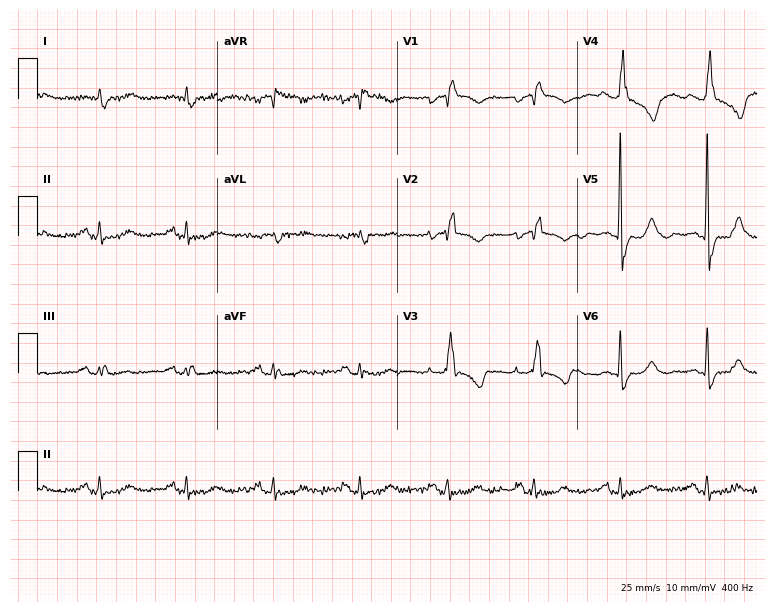
12-lead ECG (7.3-second recording at 400 Hz) from a 77-year-old woman. Screened for six findings — first-degree AV block, right bundle branch block, left bundle branch block, sinus bradycardia, atrial fibrillation, sinus tachycardia — none is recorded.